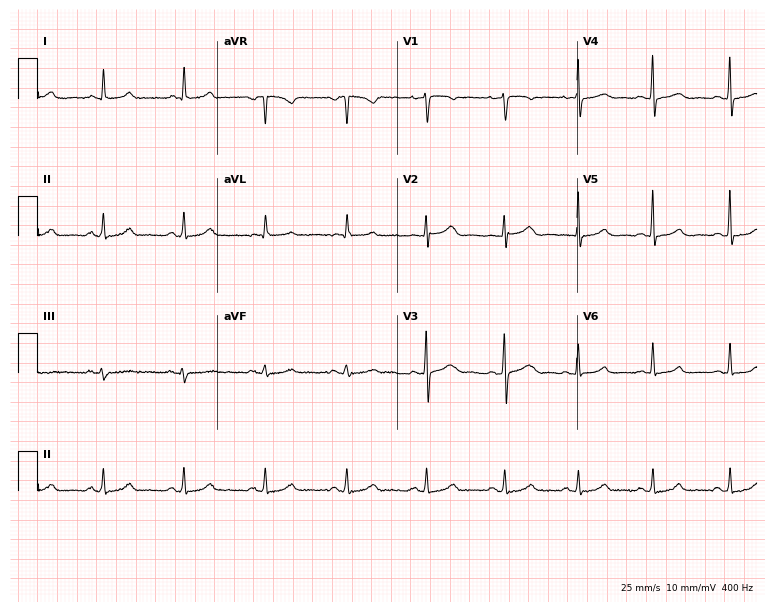
Standard 12-lead ECG recorded from a 30-year-old female. Read as a normal ECG.